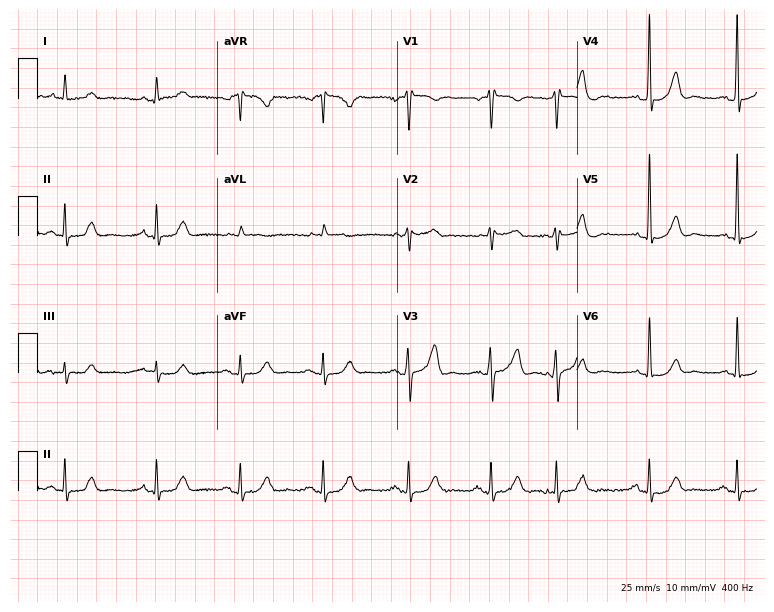
Electrocardiogram (7.3-second recording at 400 Hz), a man, 74 years old. Overall reading on record: normal ECG.